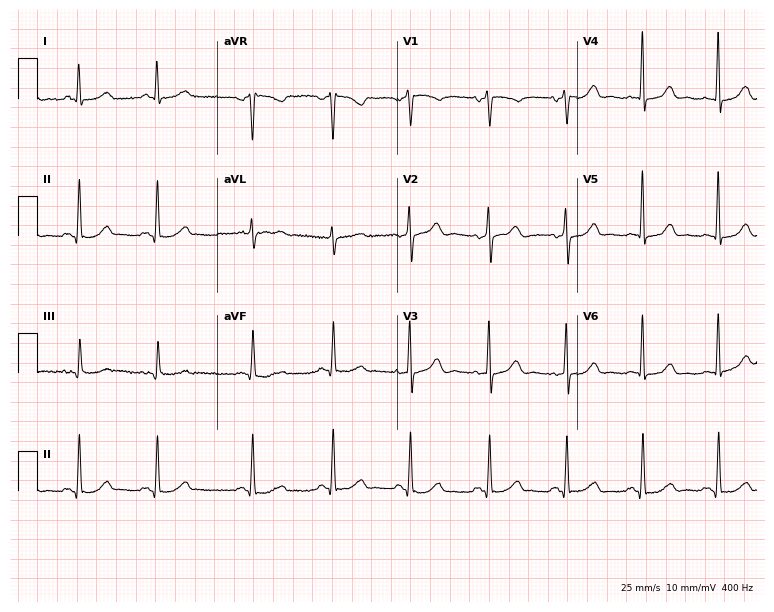
Resting 12-lead electrocardiogram (7.3-second recording at 400 Hz). Patient: a 52-year-old female. None of these six findings is recorded: first-degree AV block, right bundle branch block, left bundle branch block, sinus bradycardia, atrial fibrillation, sinus tachycardia.